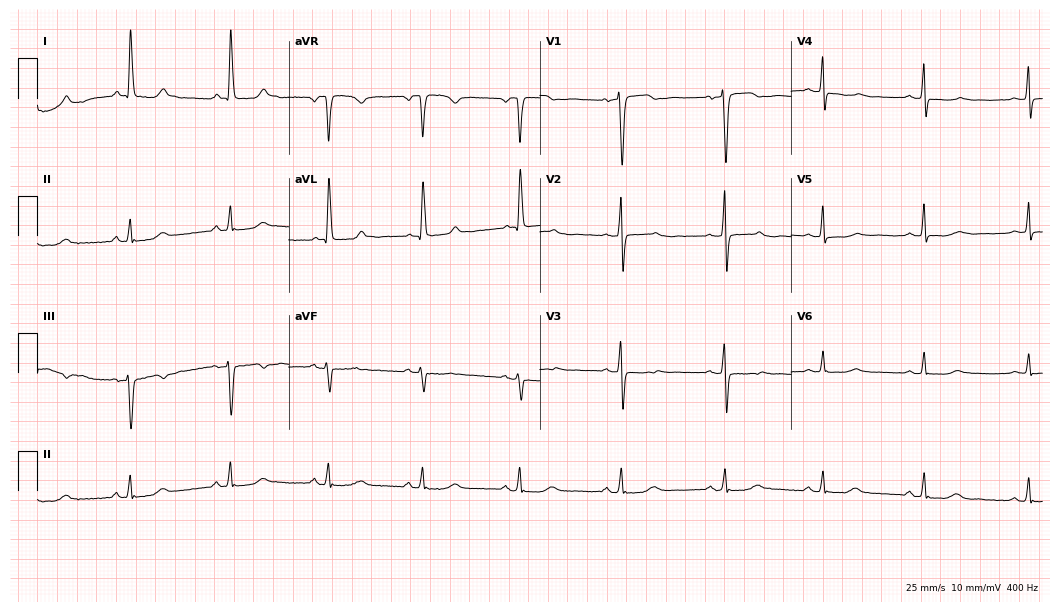
Standard 12-lead ECG recorded from a female patient, 55 years old. None of these six findings is recorded: first-degree AV block, right bundle branch block, left bundle branch block, sinus bradycardia, atrial fibrillation, sinus tachycardia. Other findings, if any, are not listed.